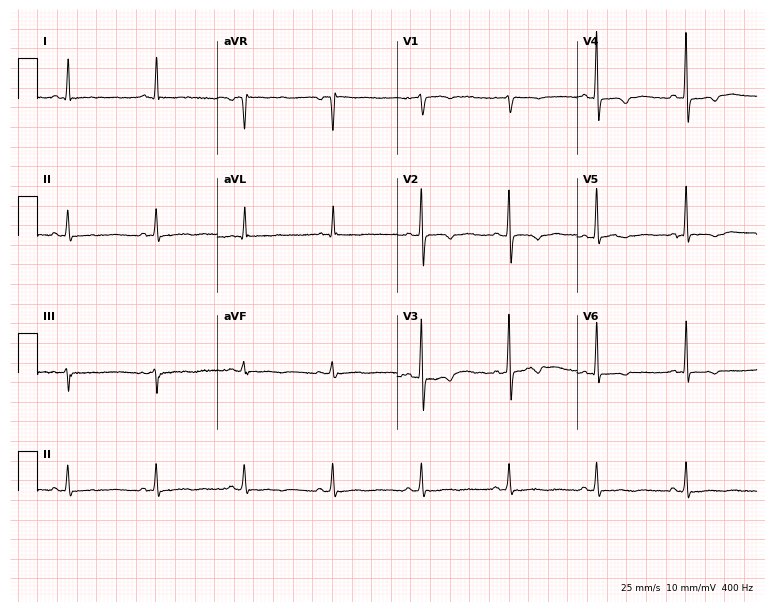
ECG (7.3-second recording at 400 Hz) — a 76-year-old female patient. Screened for six findings — first-degree AV block, right bundle branch block, left bundle branch block, sinus bradycardia, atrial fibrillation, sinus tachycardia — none is recorded.